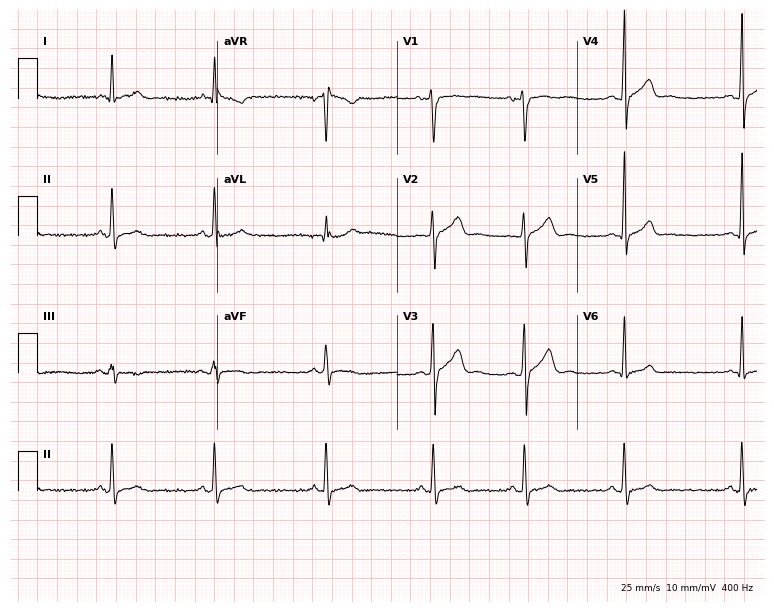
Electrocardiogram, a 23-year-old male. Overall reading on record: normal ECG.